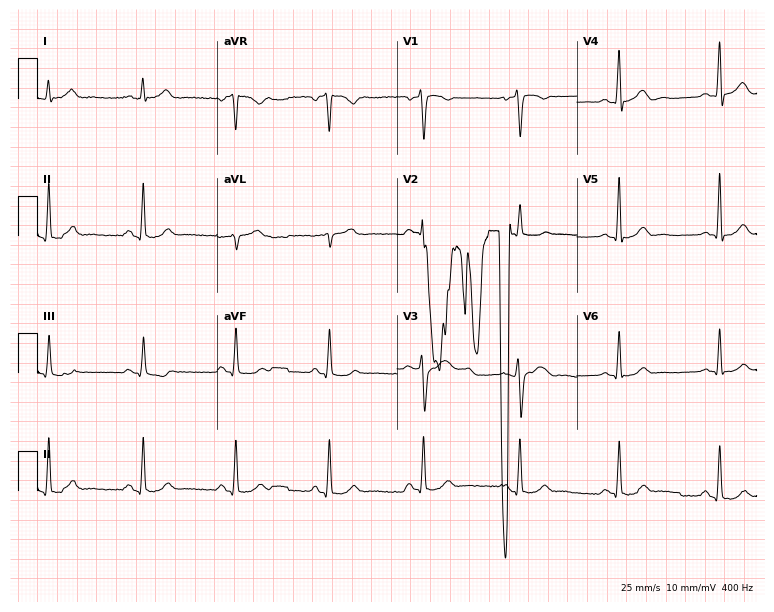
Resting 12-lead electrocardiogram. Patient: a 44-year-old male. None of these six findings is recorded: first-degree AV block, right bundle branch block, left bundle branch block, sinus bradycardia, atrial fibrillation, sinus tachycardia.